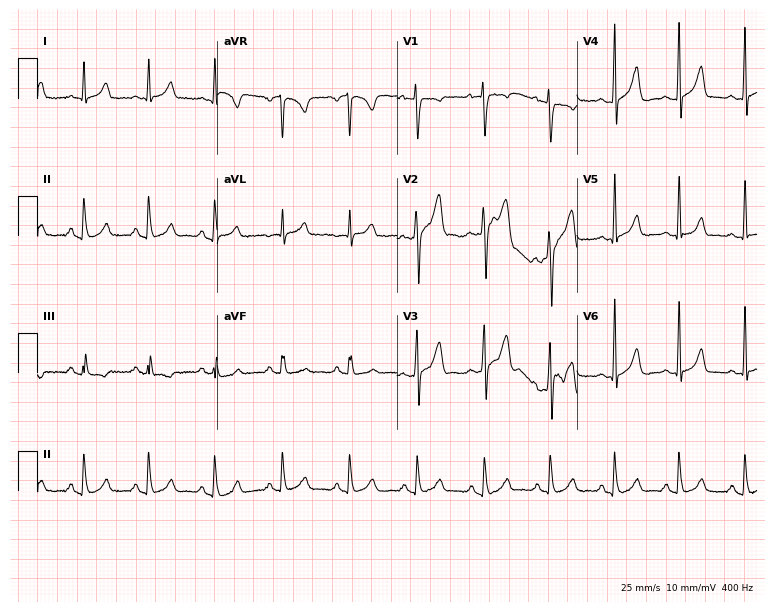
Electrocardiogram, a 47-year-old man. Overall reading on record: normal ECG.